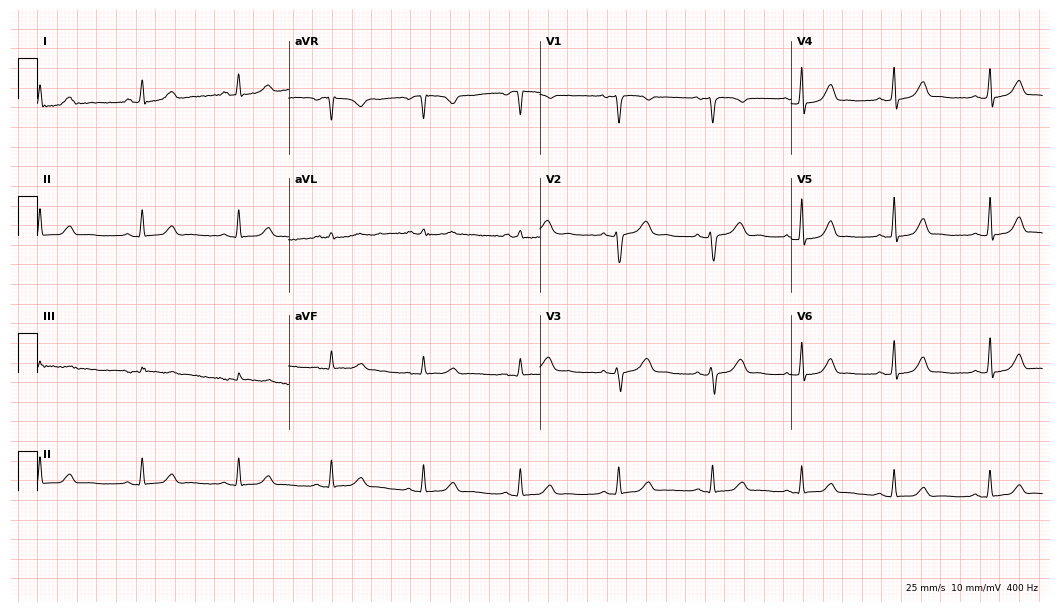
Standard 12-lead ECG recorded from a 34-year-old female (10.2-second recording at 400 Hz). Read as a normal ECG.